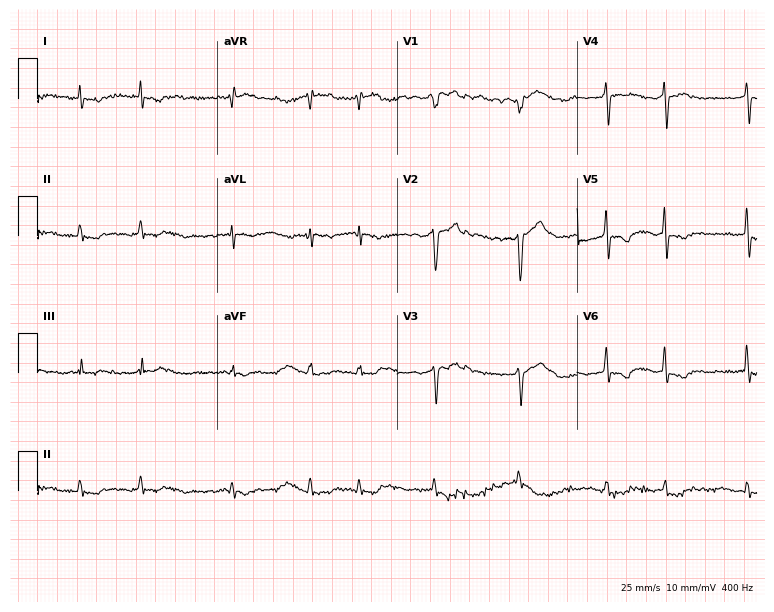
12-lead ECG from a female, 69 years old. Screened for six findings — first-degree AV block, right bundle branch block (RBBB), left bundle branch block (LBBB), sinus bradycardia, atrial fibrillation (AF), sinus tachycardia — none is recorded.